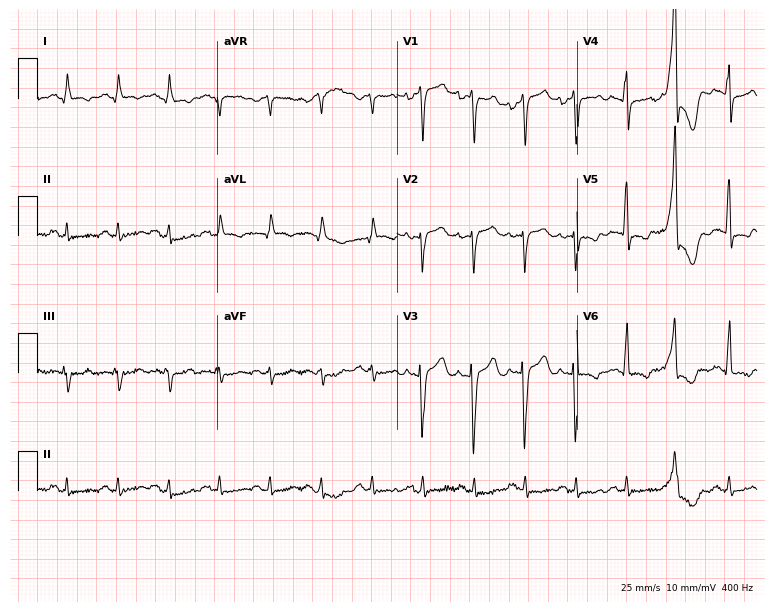
Resting 12-lead electrocardiogram. Patient: a male, 61 years old. The tracing shows sinus tachycardia (a sinus rate of 100 beats per minute or more).